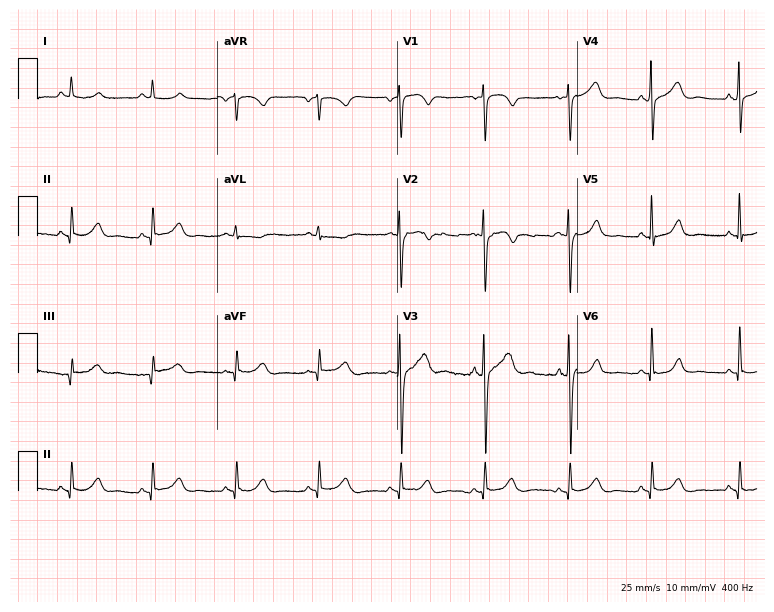
Resting 12-lead electrocardiogram (7.3-second recording at 400 Hz). Patient: a male, 57 years old. Read as a normal ECG.